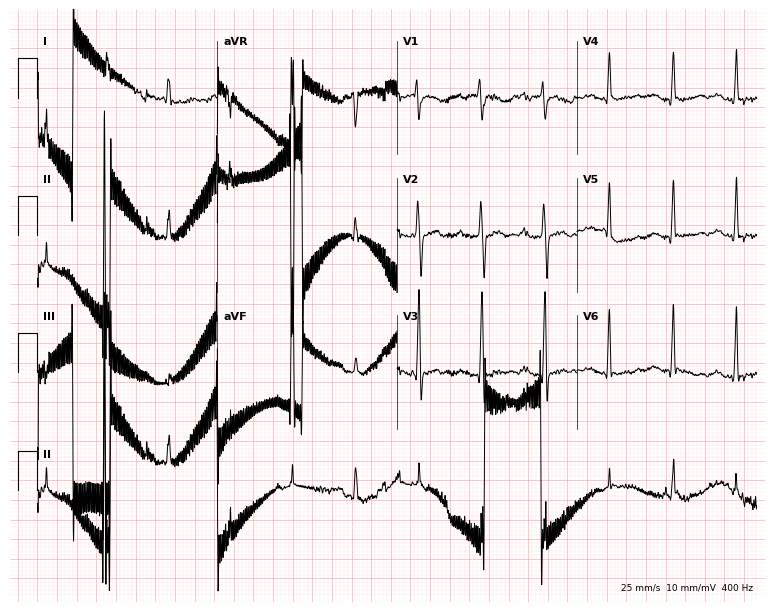
12-lead ECG from a 56-year-old woman (7.3-second recording at 400 Hz). No first-degree AV block, right bundle branch block (RBBB), left bundle branch block (LBBB), sinus bradycardia, atrial fibrillation (AF) or sinus tachycardia recorded for this tracing. Other findings, if any, are not listed.